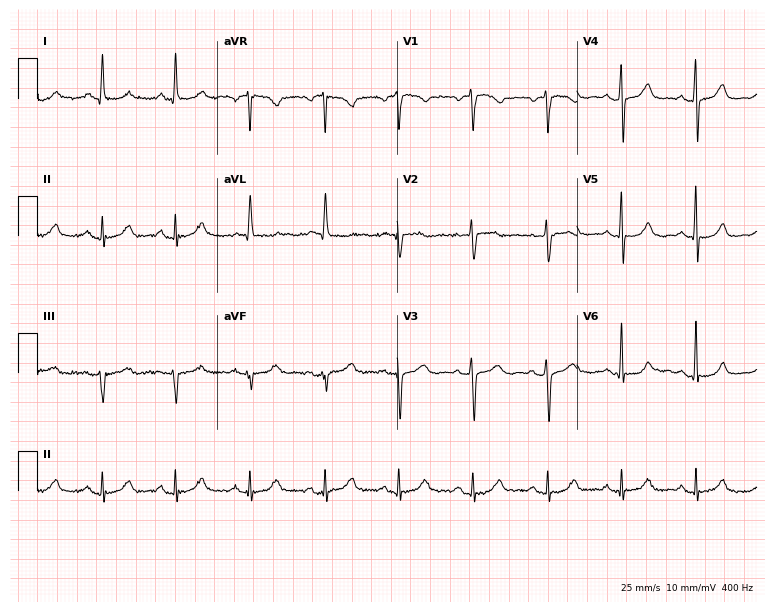
Resting 12-lead electrocardiogram (7.3-second recording at 400 Hz). Patient: a female, 68 years old. Read as a normal ECG.